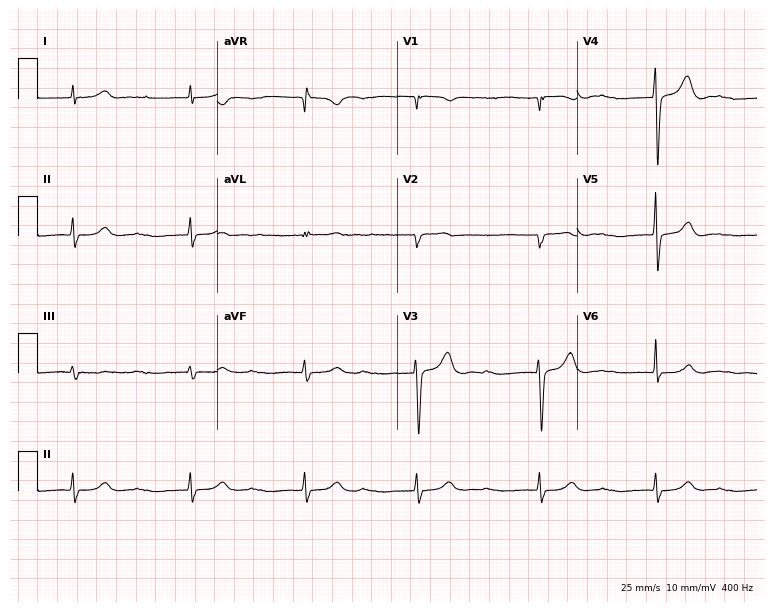
ECG (7.3-second recording at 400 Hz) — a male, 77 years old. Screened for six findings — first-degree AV block, right bundle branch block, left bundle branch block, sinus bradycardia, atrial fibrillation, sinus tachycardia — none is recorded. Only these six findings were labelled.